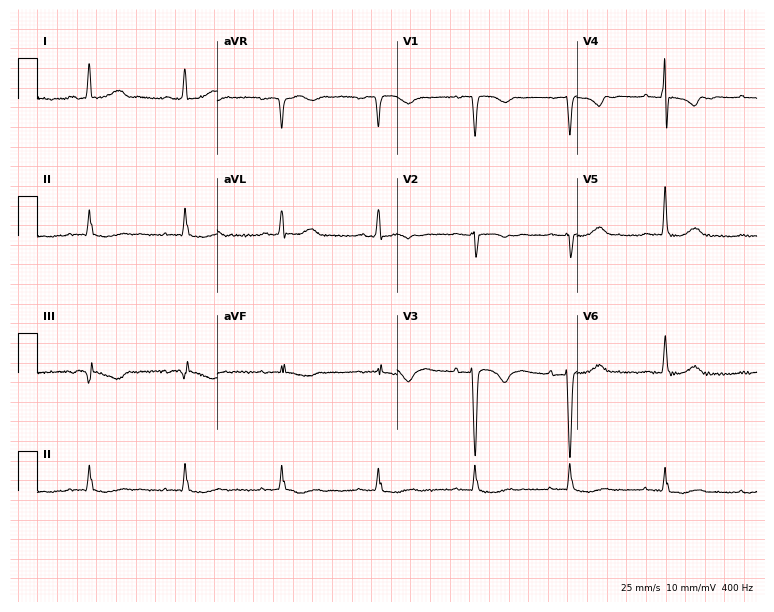
Resting 12-lead electrocardiogram (7.3-second recording at 400 Hz). Patient: a 76-year-old woman. None of these six findings is recorded: first-degree AV block, right bundle branch block, left bundle branch block, sinus bradycardia, atrial fibrillation, sinus tachycardia. Findings outside these six are not listed.